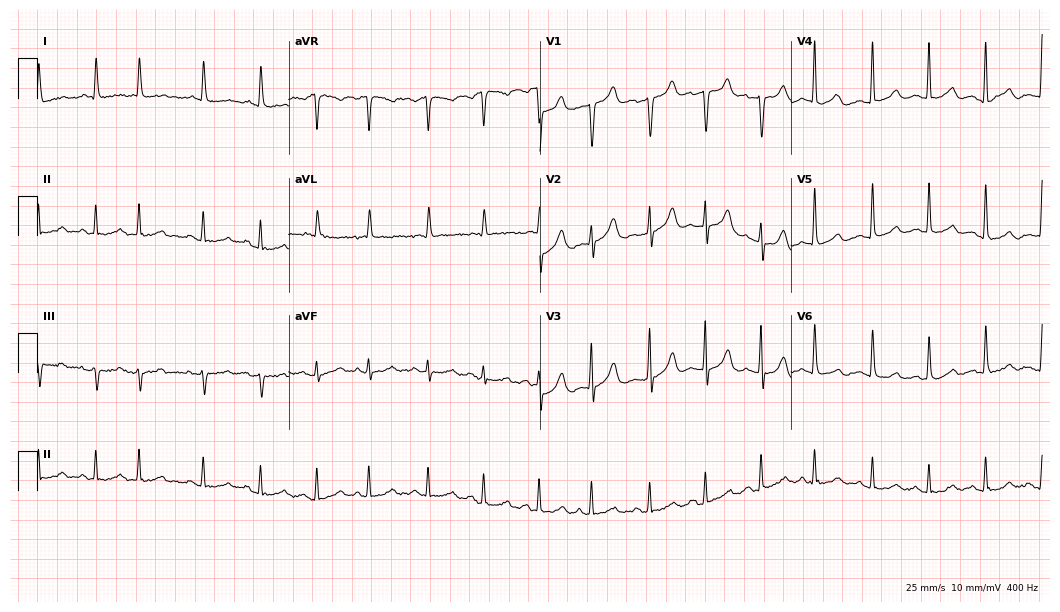
12-lead ECG from an 82-year-old male. Shows sinus tachycardia (a sinus rate of 100 beats per minute or more).